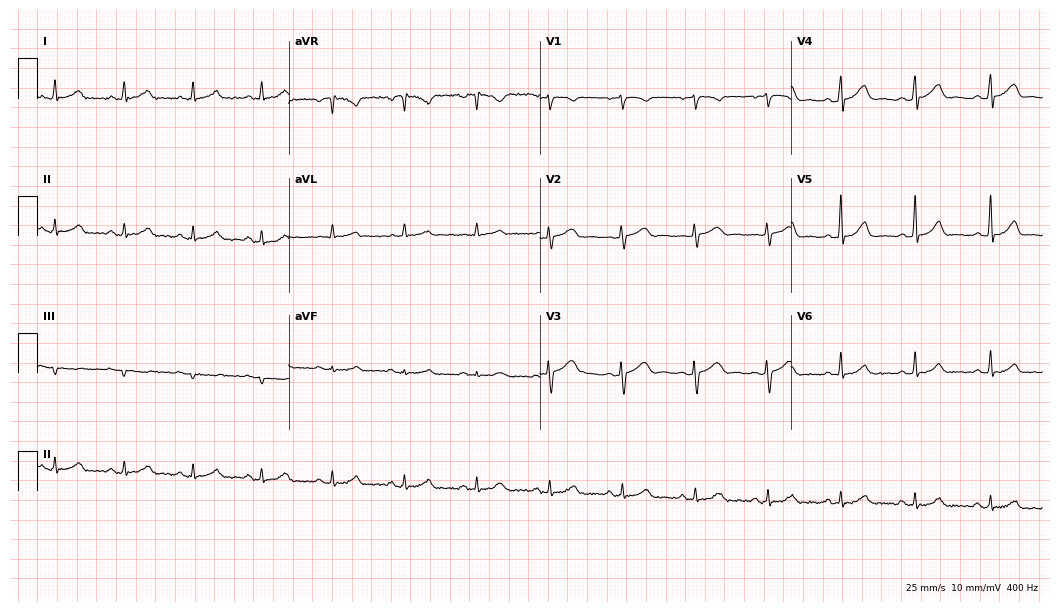
Electrocardiogram (10.2-second recording at 400 Hz), a female, 45 years old. Overall reading on record: normal ECG.